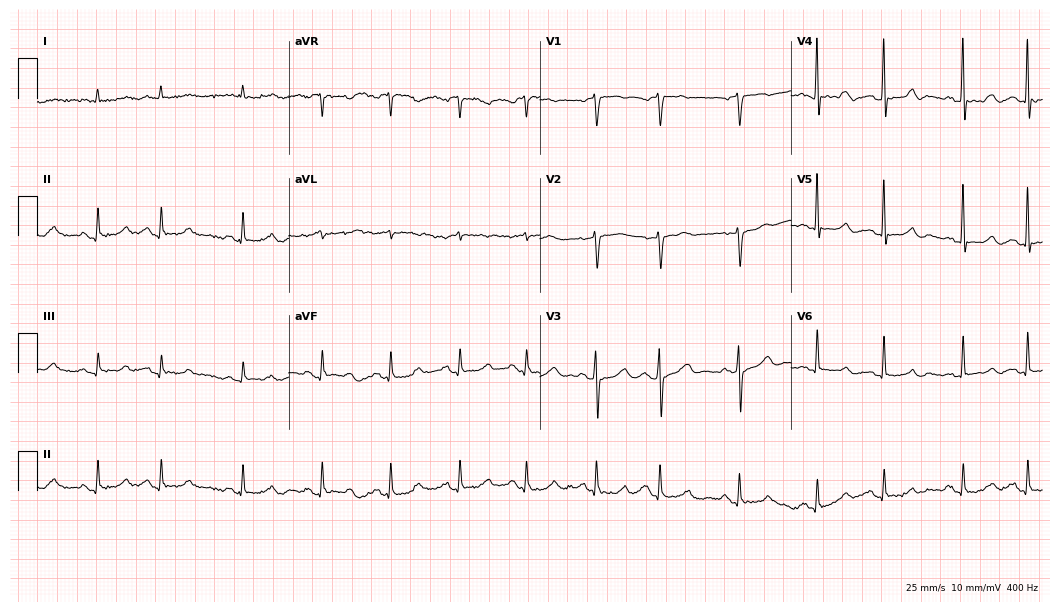
Resting 12-lead electrocardiogram. Patient: a 77-year-old man. None of these six findings is recorded: first-degree AV block, right bundle branch block, left bundle branch block, sinus bradycardia, atrial fibrillation, sinus tachycardia. Only these six findings were labelled.